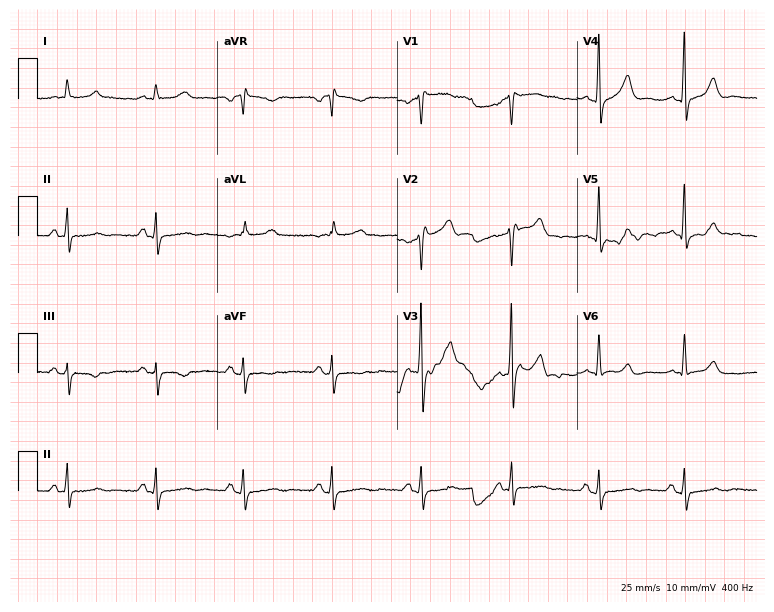
12-lead ECG from a 48-year-old male patient (7.3-second recording at 400 Hz). No first-degree AV block, right bundle branch block, left bundle branch block, sinus bradycardia, atrial fibrillation or sinus tachycardia recorded for this tracing. Findings outside these six are not listed.